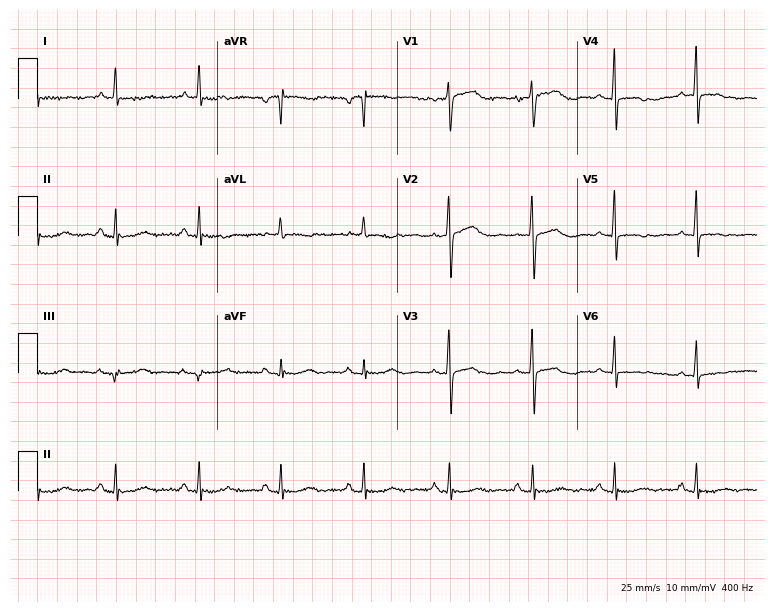
12-lead ECG (7.3-second recording at 400 Hz) from a 76-year-old female patient. Screened for six findings — first-degree AV block, right bundle branch block, left bundle branch block, sinus bradycardia, atrial fibrillation, sinus tachycardia — none is recorded.